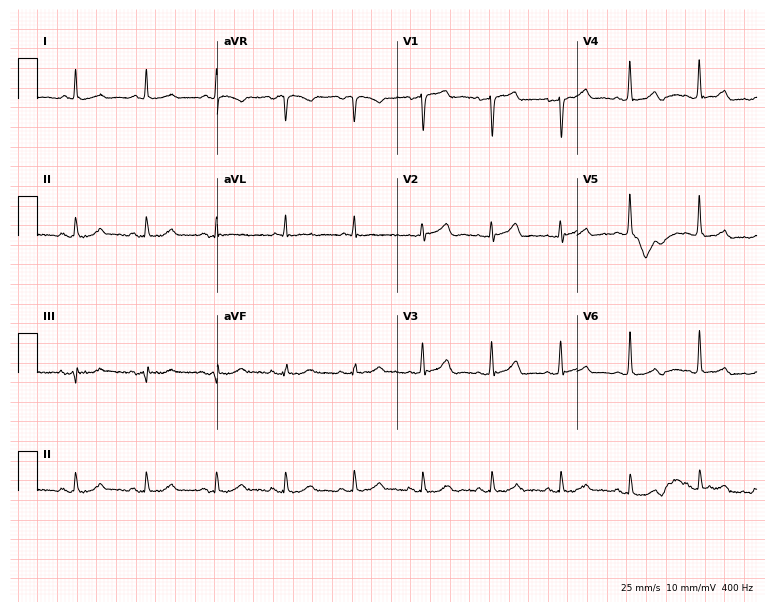
12-lead ECG (7.3-second recording at 400 Hz) from a 75-year-old man. Labelled as a normal ECG.